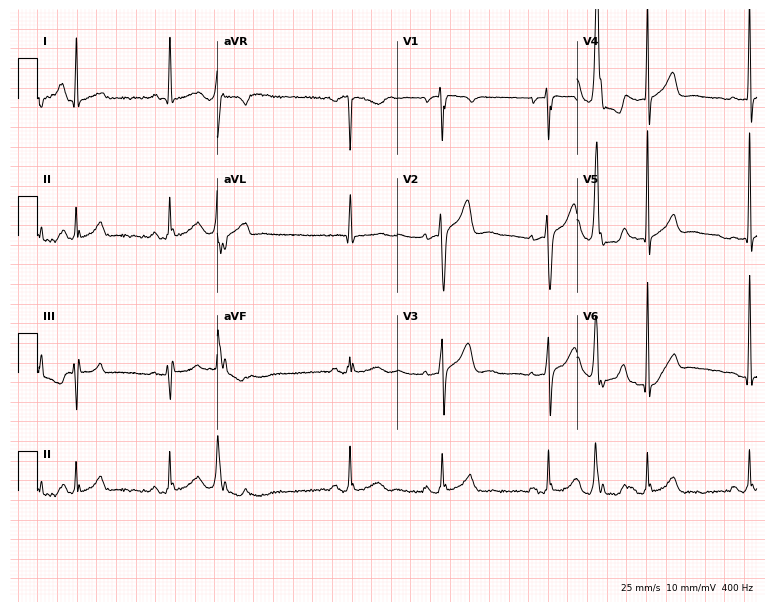
12-lead ECG from a male patient, 56 years old (7.3-second recording at 400 Hz). No first-degree AV block, right bundle branch block (RBBB), left bundle branch block (LBBB), sinus bradycardia, atrial fibrillation (AF) or sinus tachycardia recorded for this tracing. Findings outside these six are not listed.